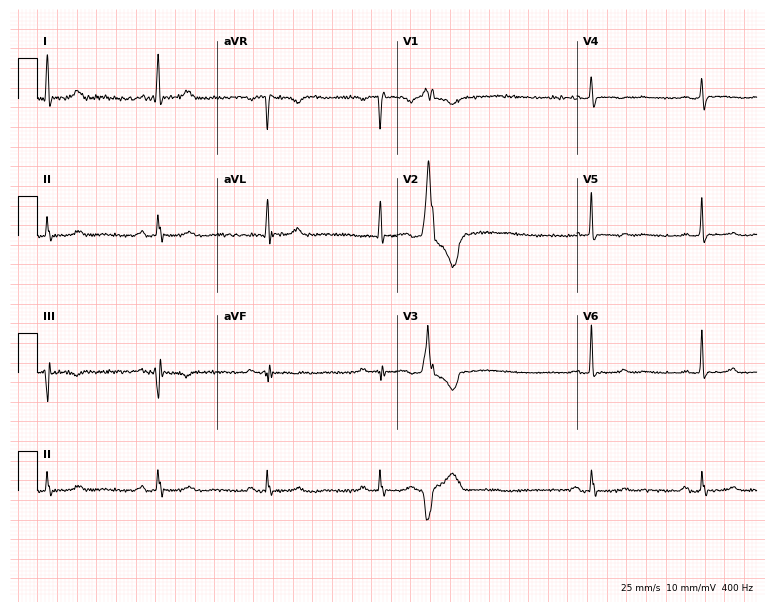
Standard 12-lead ECG recorded from a woman, 79 years old. None of these six findings is recorded: first-degree AV block, right bundle branch block, left bundle branch block, sinus bradycardia, atrial fibrillation, sinus tachycardia. Only these six findings were labelled.